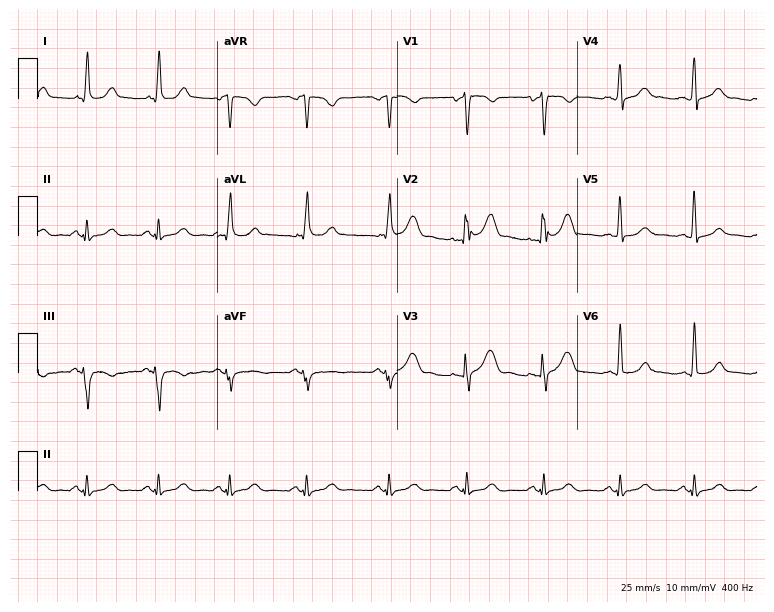
Standard 12-lead ECG recorded from a 57-year-old male (7.3-second recording at 400 Hz). Read as a normal ECG.